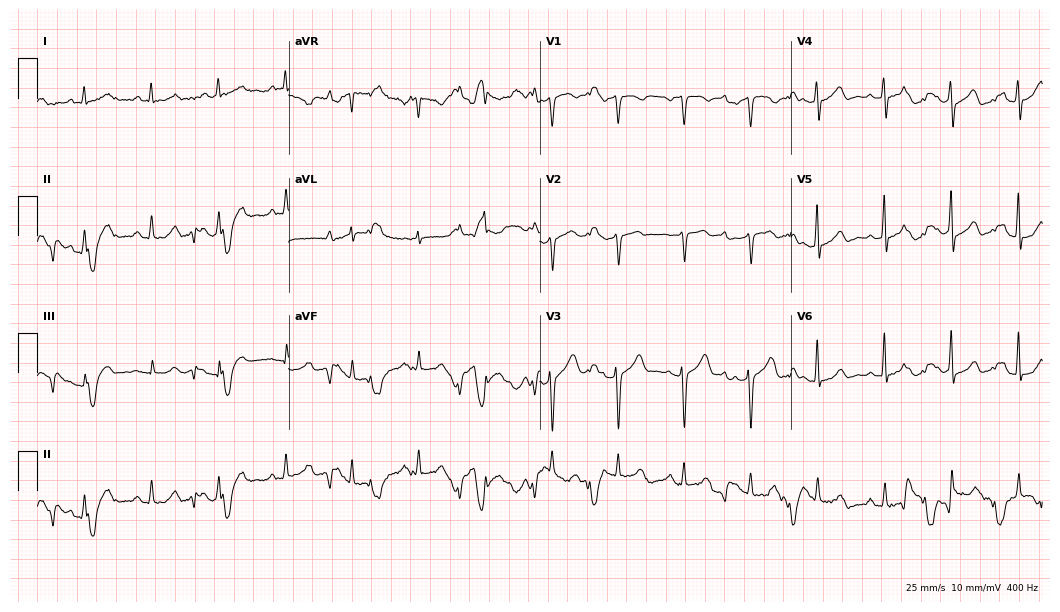
12-lead ECG from a male, 70 years old. No first-degree AV block, right bundle branch block (RBBB), left bundle branch block (LBBB), sinus bradycardia, atrial fibrillation (AF) or sinus tachycardia recorded for this tracing.